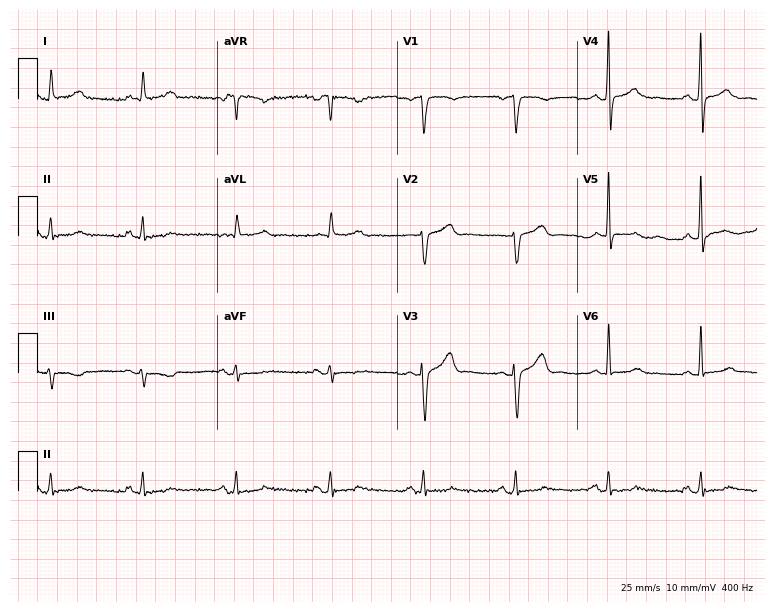
Standard 12-lead ECG recorded from a male patient, 70 years old. None of these six findings is recorded: first-degree AV block, right bundle branch block, left bundle branch block, sinus bradycardia, atrial fibrillation, sinus tachycardia. Only these six findings were labelled.